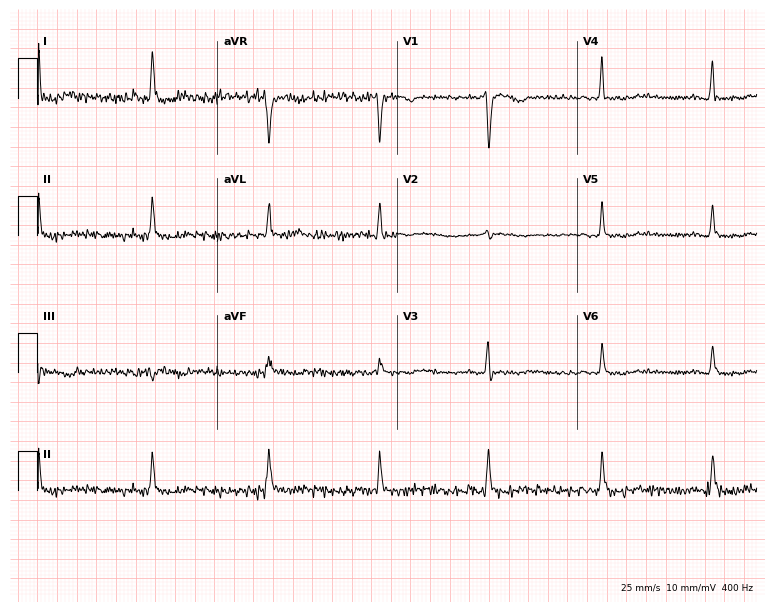
Standard 12-lead ECG recorded from a 50-year-old man. None of these six findings is recorded: first-degree AV block, right bundle branch block (RBBB), left bundle branch block (LBBB), sinus bradycardia, atrial fibrillation (AF), sinus tachycardia. Other findings, if any, are not listed.